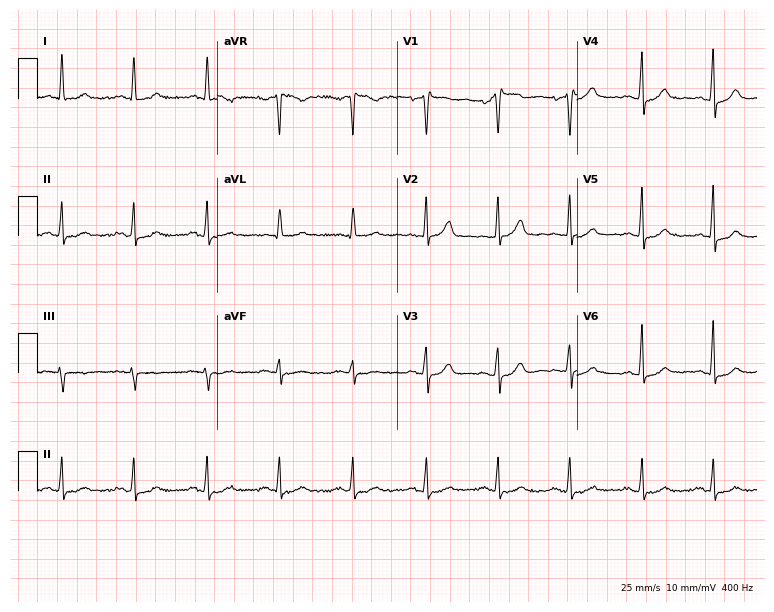
12-lead ECG from a male, 84 years old. Recorded interpretation: within normal limits.